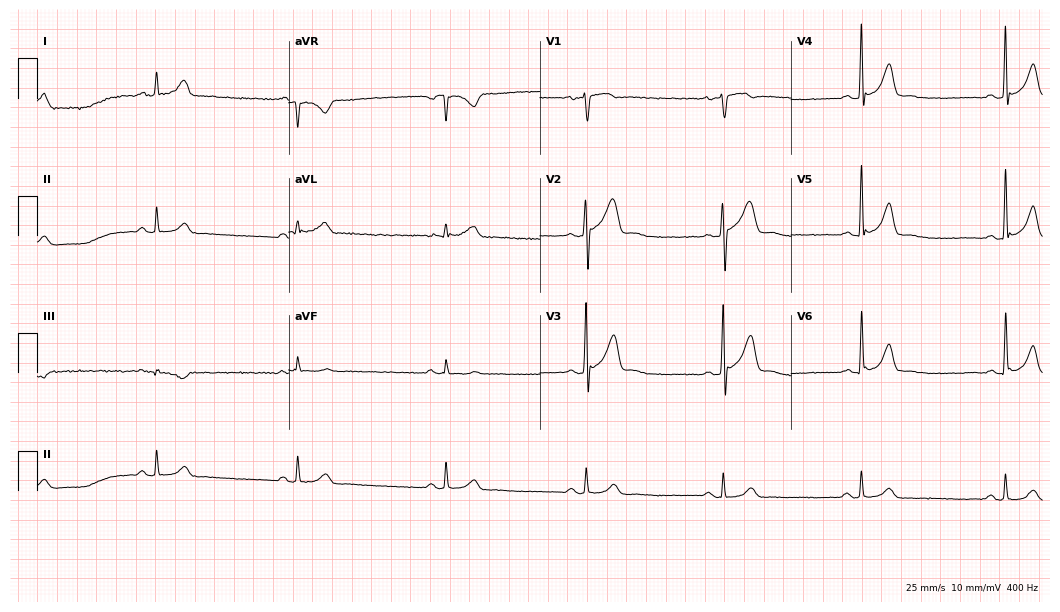
12-lead ECG from a 32-year-old man. Findings include sinus bradycardia (a sinus rate of 50 beats per minute or less).